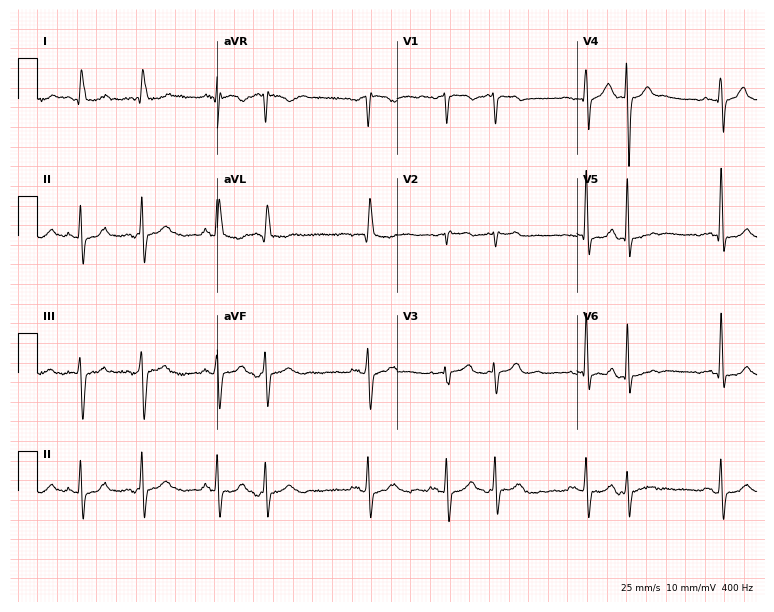
12-lead ECG from an 83-year-old male patient. Recorded interpretation: within normal limits.